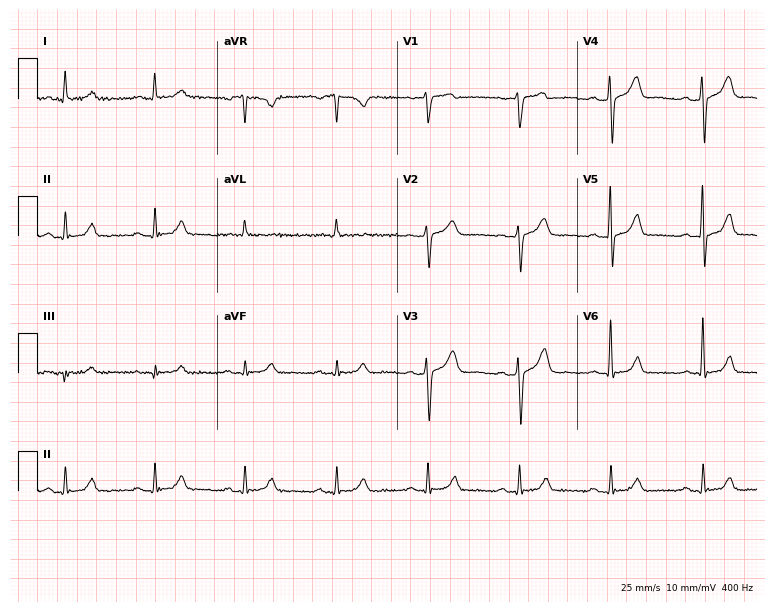
Standard 12-lead ECG recorded from a 66-year-old male. Read as a normal ECG.